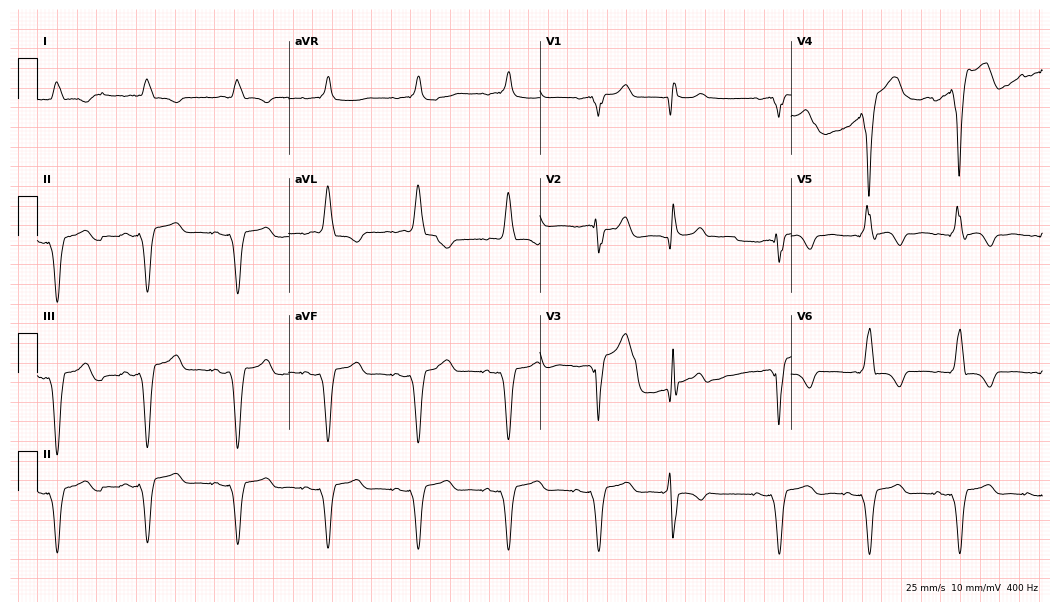
ECG (10.2-second recording at 400 Hz) — a 76-year-old male patient. Screened for six findings — first-degree AV block, right bundle branch block, left bundle branch block, sinus bradycardia, atrial fibrillation, sinus tachycardia — none is recorded. Findings outside these six are not listed.